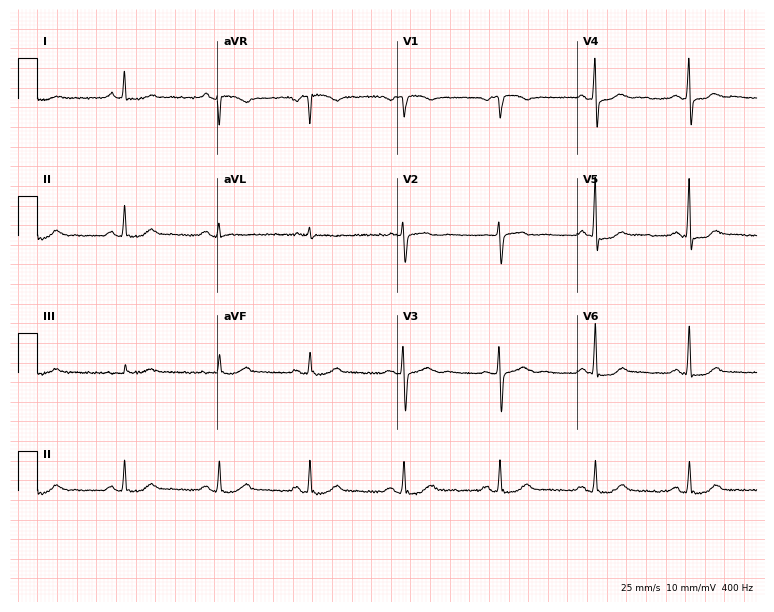
Standard 12-lead ECG recorded from a 61-year-old male. None of these six findings is recorded: first-degree AV block, right bundle branch block (RBBB), left bundle branch block (LBBB), sinus bradycardia, atrial fibrillation (AF), sinus tachycardia.